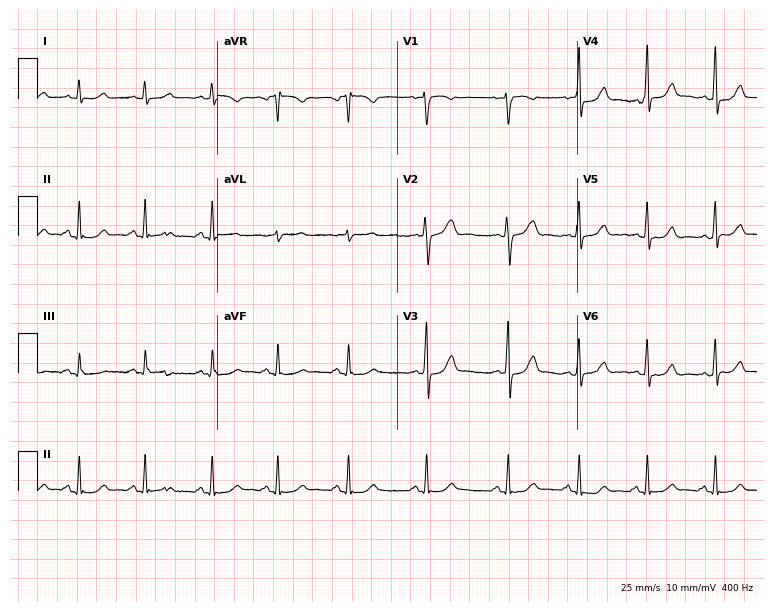
ECG — a 32-year-old female patient. Screened for six findings — first-degree AV block, right bundle branch block (RBBB), left bundle branch block (LBBB), sinus bradycardia, atrial fibrillation (AF), sinus tachycardia — none is recorded. Findings outside these six are not listed.